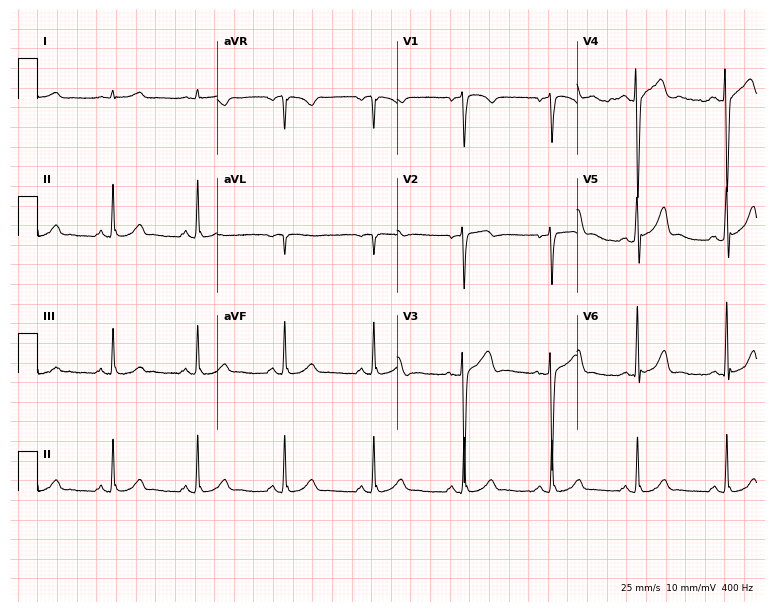
12-lead ECG from a 38-year-old male patient. Labelled as a normal ECG.